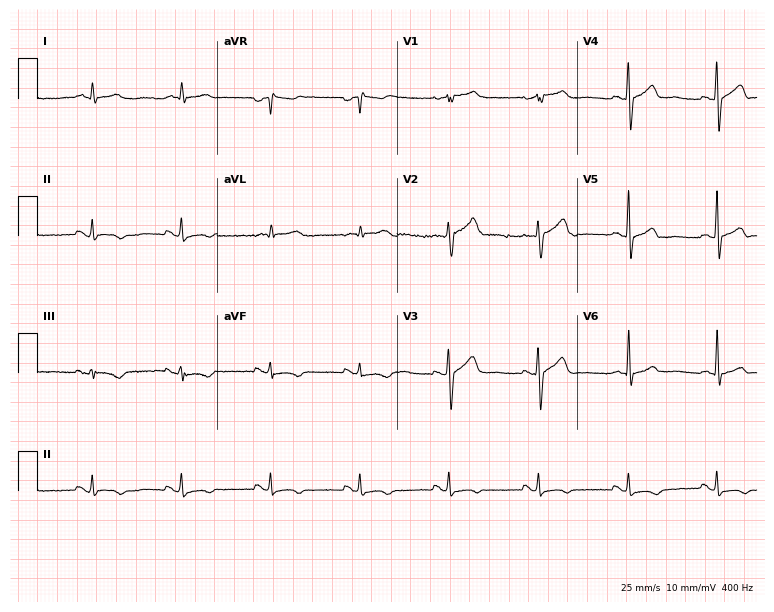
12-lead ECG from a male, 62 years old. No first-degree AV block, right bundle branch block, left bundle branch block, sinus bradycardia, atrial fibrillation or sinus tachycardia recorded for this tracing.